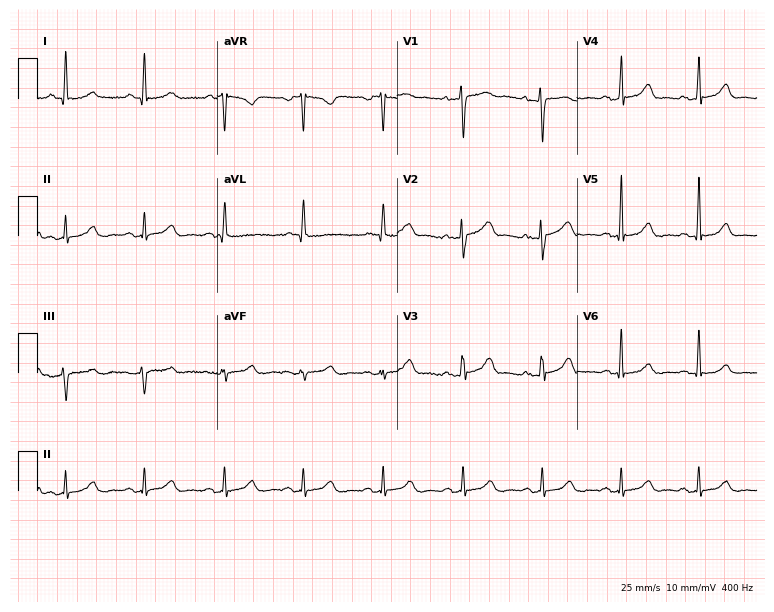
Electrocardiogram, a 54-year-old woman. Overall reading on record: normal ECG.